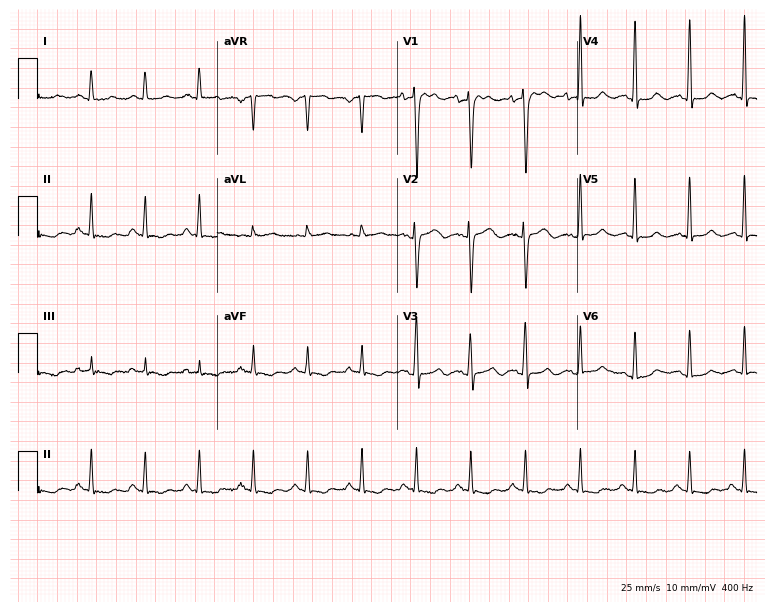
Electrocardiogram, a 35-year-old woman. Interpretation includes sinus tachycardia (a sinus rate of 100 beats per minute or more).